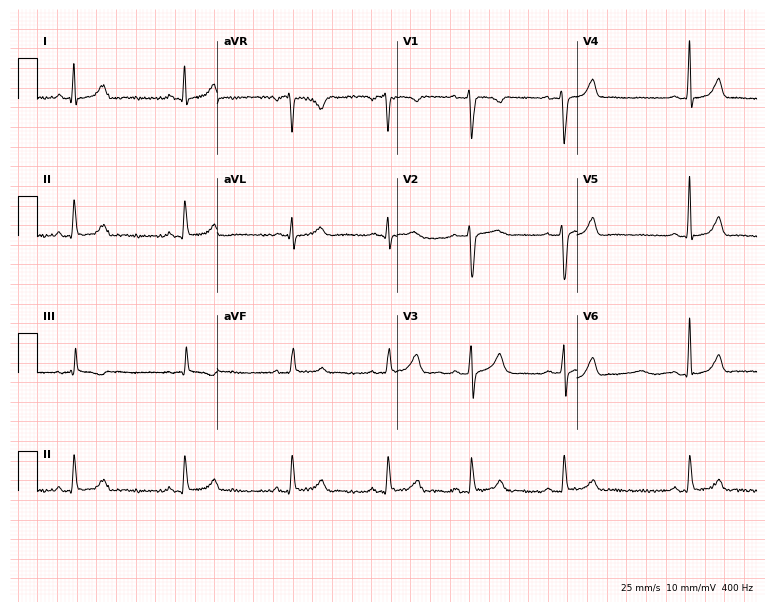
12-lead ECG (7.3-second recording at 400 Hz) from a 32-year-old female patient. Screened for six findings — first-degree AV block, right bundle branch block, left bundle branch block, sinus bradycardia, atrial fibrillation, sinus tachycardia — none is recorded. Other findings, if any, are not listed.